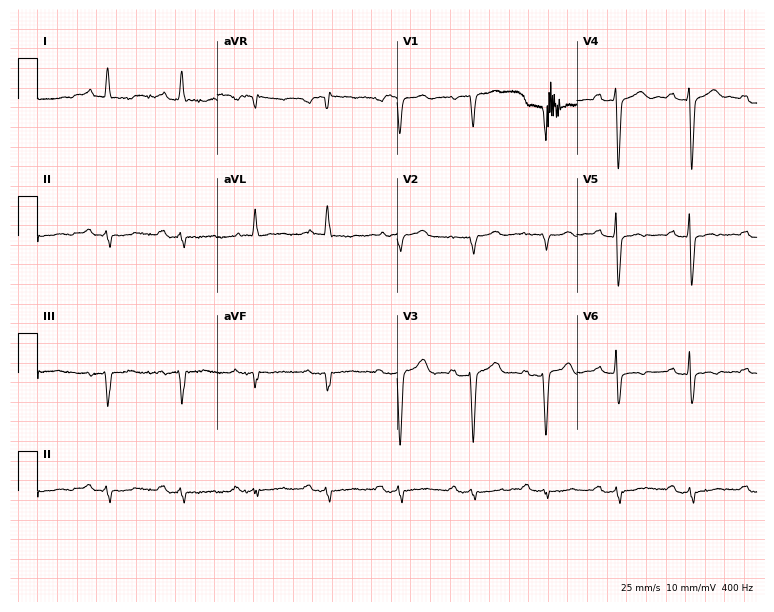
Electrocardiogram, a 73-year-old male. Of the six screened findings (first-degree AV block, right bundle branch block (RBBB), left bundle branch block (LBBB), sinus bradycardia, atrial fibrillation (AF), sinus tachycardia), none is recorded. Other findings, if any, are not listed.